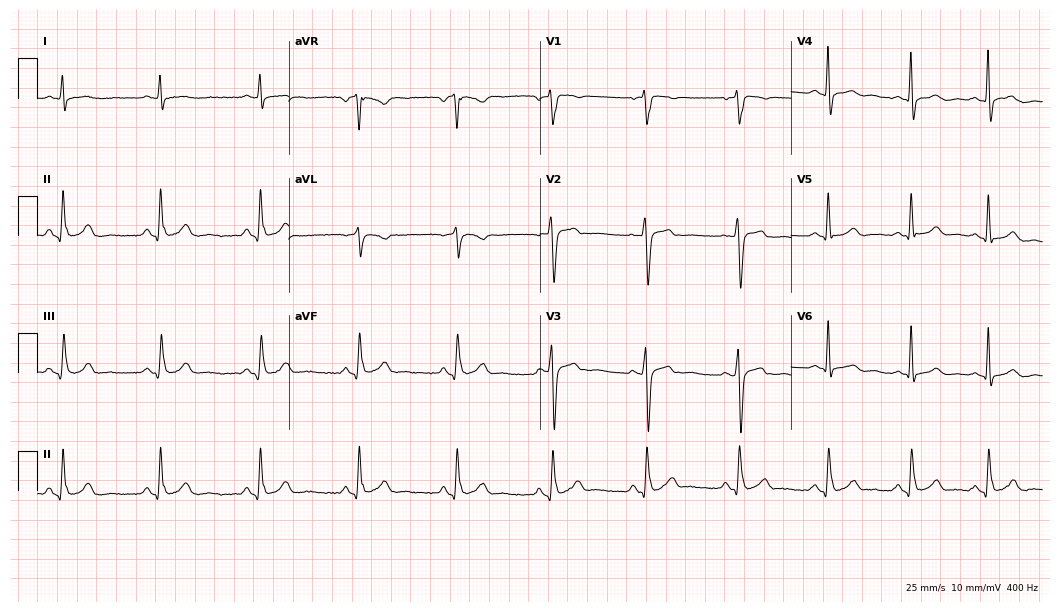
12-lead ECG from a 49-year-old male patient. Screened for six findings — first-degree AV block, right bundle branch block, left bundle branch block, sinus bradycardia, atrial fibrillation, sinus tachycardia — none is recorded.